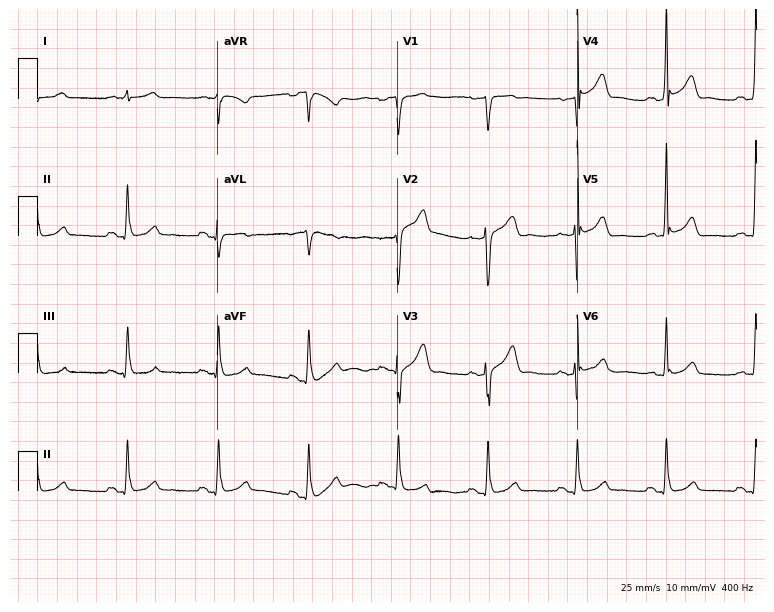
12-lead ECG from a man, 75 years old. No first-degree AV block, right bundle branch block, left bundle branch block, sinus bradycardia, atrial fibrillation or sinus tachycardia recorded for this tracing.